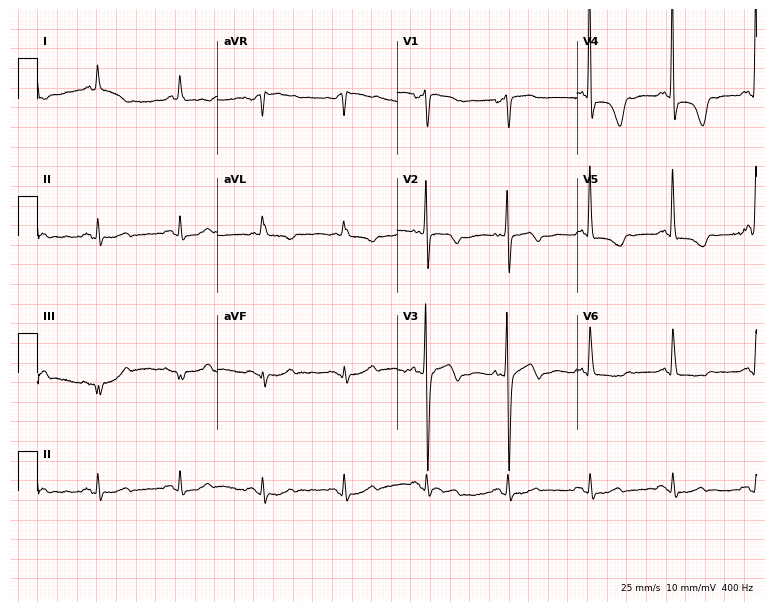
Electrocardiogram, a 71-year-old female patient. Of the six screened findings (first-degree AV block, right bundle branch block, left bundle branch block, sinus bradycardia, atrial fibrillation, sinus tachycardia), none is recorded. Only these six findings were labelled.